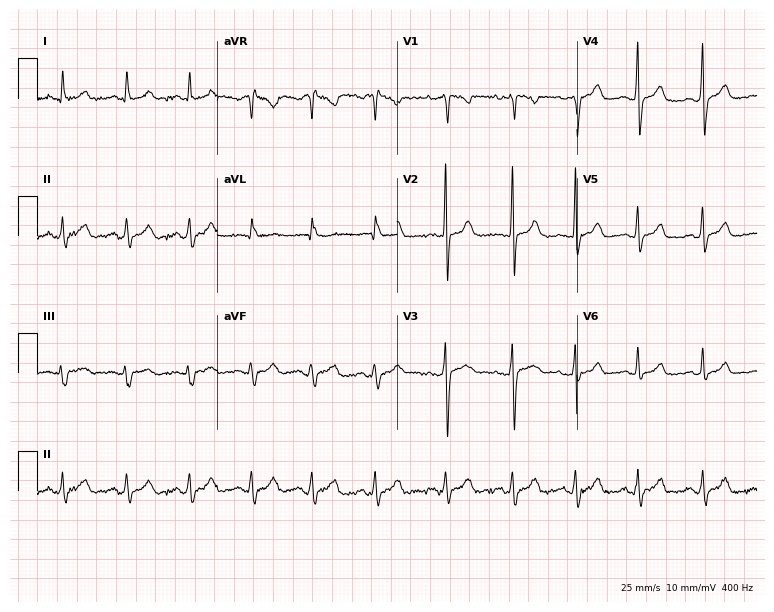
Resting 12-lead electrocardiogram (7.3-second recording at 400 Hz). Patient: a woman, 25 years old. None of these six findings is recorded: first-degree AV block, right bundle branch block, left bundle branch block, sinus bradycardia, atrial fibrillation, sinus tachycardia. Other findings, if any, are not listed.